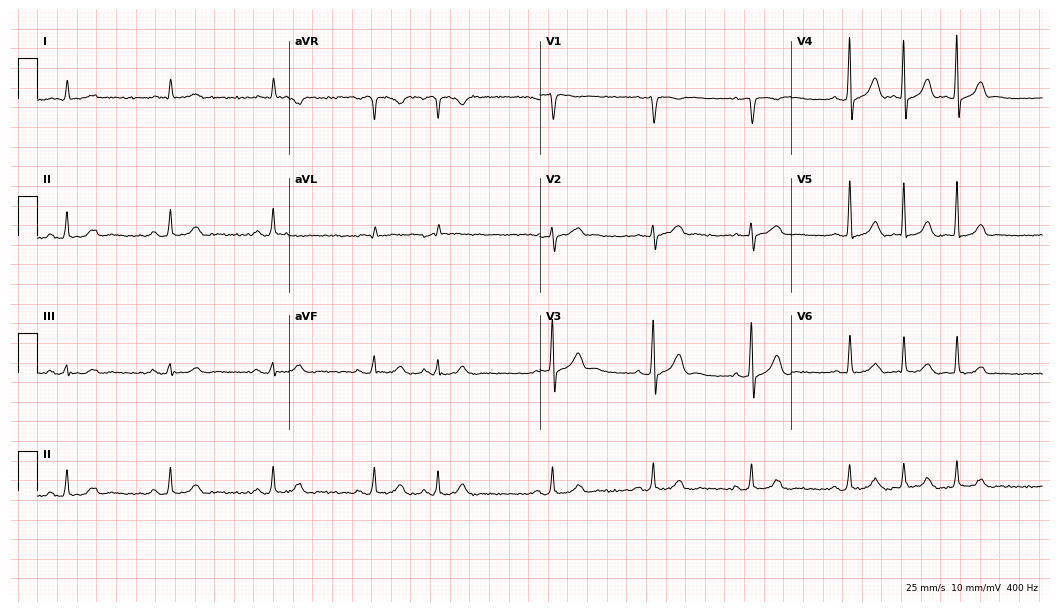
ECG (10.2-second recording at 400 Hz) — a male patient, 69 years old. Screened for six findings — first-degree AV block, right bundle branch block (RBBB), left bundle branch block (LBBB), sinus bradycardia, atrial fibrillation (AF), sinus tachycardia — none is recorded.